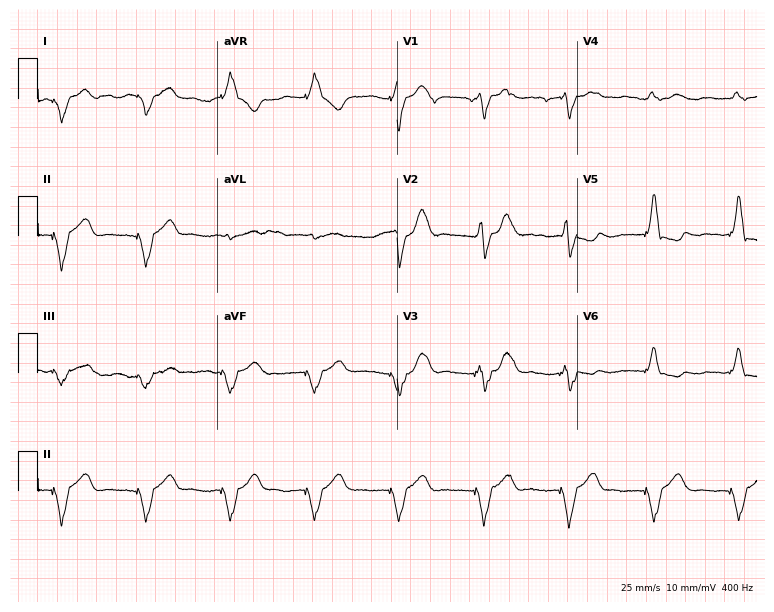
Electrocardiogram, a female patient, 83 years old. Of the six screened findings (first-degree AV block, right bundle branch block (RBBB), left bundle branch block (LBBB), sinus bradycardia, atrial fibrillation (AF), sinus tachycardia), none is recorded.